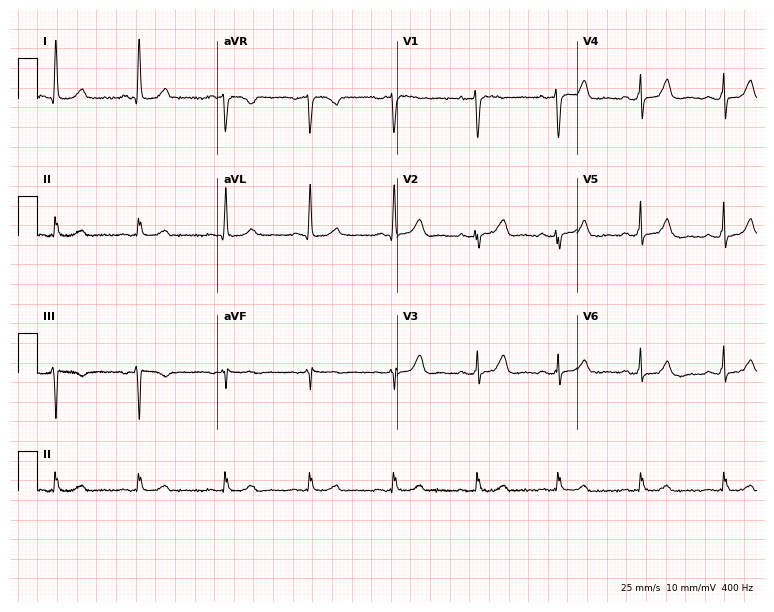
Electrocardiogram, a woman, 75 years old. Overall reading on record: normal ECG.